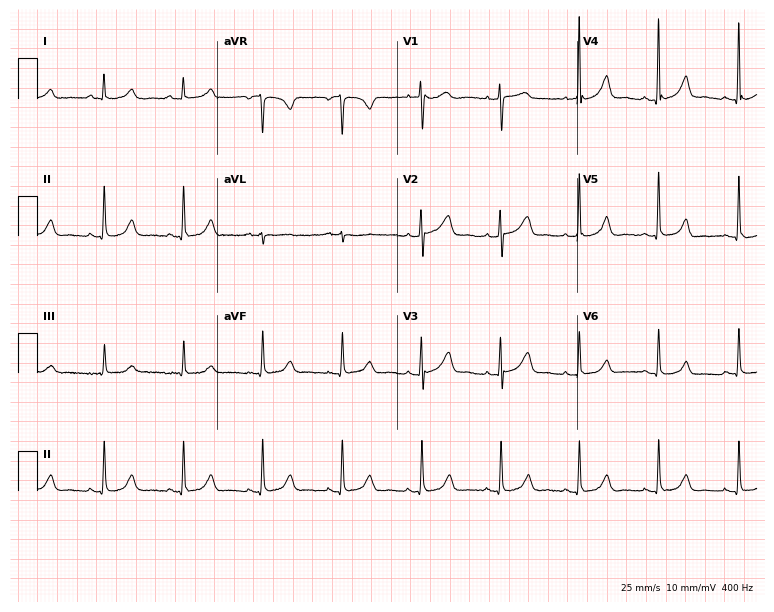
Resting 12-lead electrocardiogram. Patient: a 76-year-old female. Read as a normal ECG.